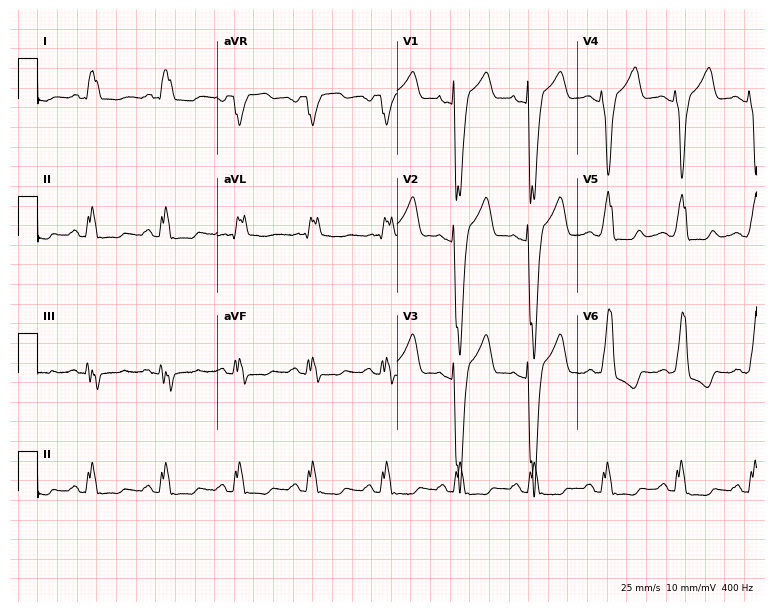
ECG (7.3-second recording at 400 Hz) — a 51-year-old woman. Findings include left bundle branch block.